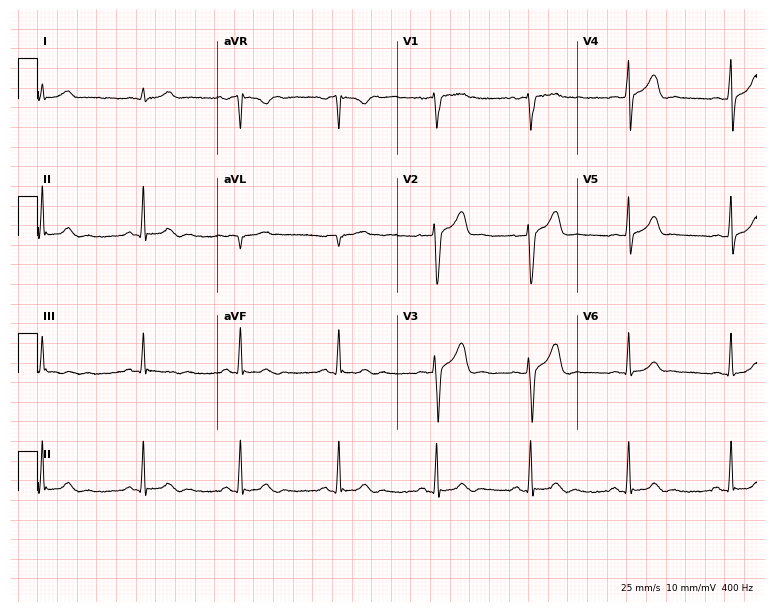
12-lead ECG from a 43-year-old male (7.3-second recording at 400 Hz). Recorded interpretation: within normal limits.